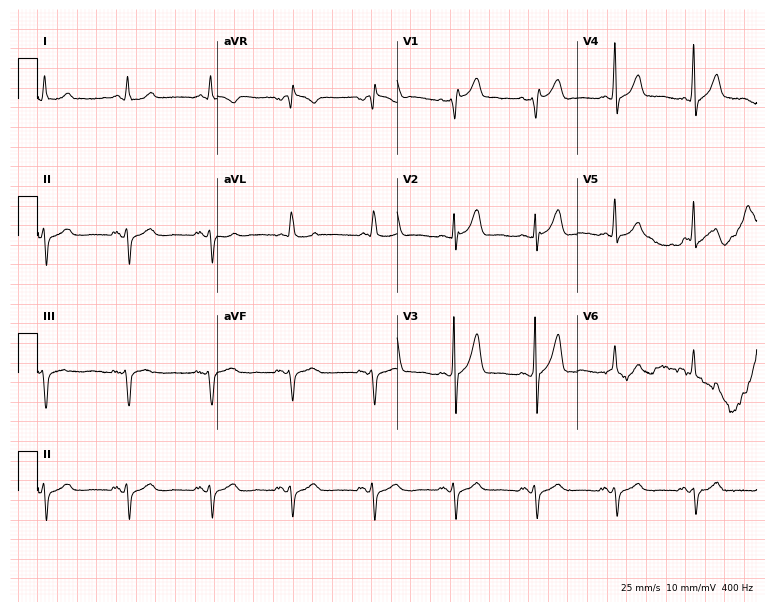
Electrocardiogram, an 83-year-old male. Of the six screened findings (first-degree AV block, right bundle branch block, left bundle branch block, sinus bradycardia, atrial fibrillation, sinus tachycardia), none is recorded.